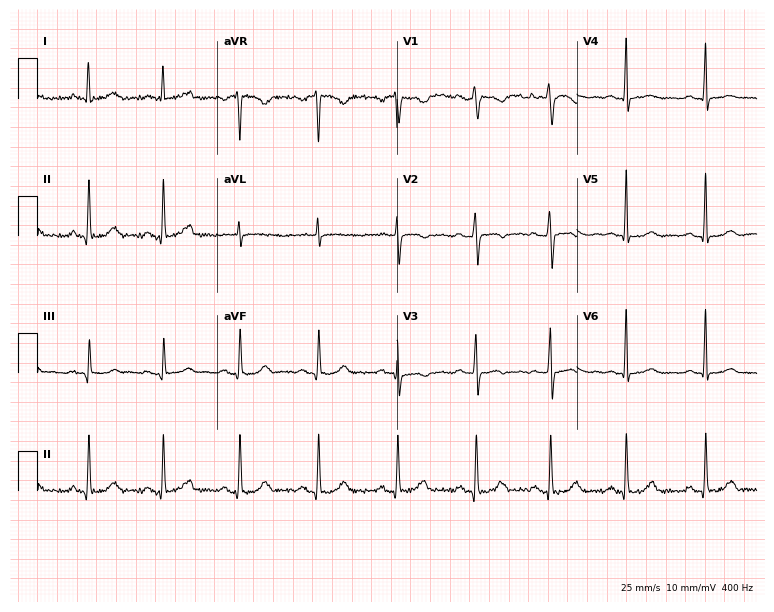
Standard 12-lead ECG recorded from a 36-year-old female (7.3-second recording at 400 Hz). Read as a normal ECG.